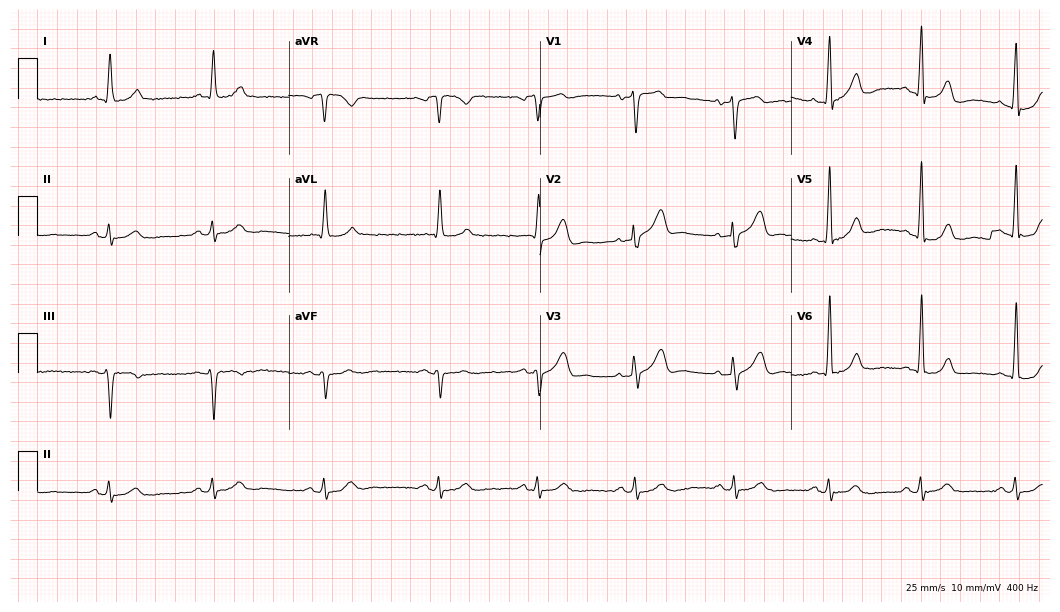
Resting 12-lead electrocardiogram. Patient: a male, 79 years old. None of these six findings is recorded: first-degree AV block, right bundle branch block, left bundle branch block, sinus bradycardia, atrial fibrillation, sinus tachycardia.